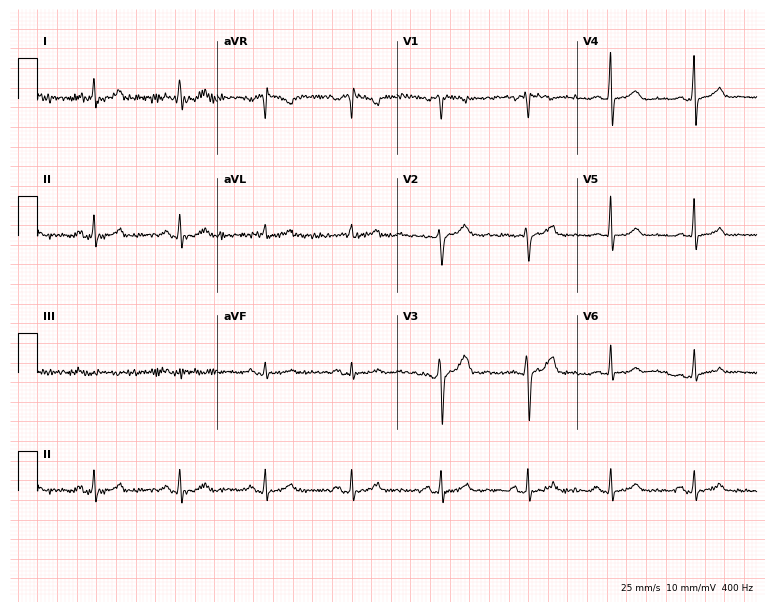
12-lead ECG from a 54-year-old male. Screened for six findings — first-degree AV block, right bundle branch block, left bundle branch block, sinus bradycardia, atrial fibrillation, sinus tachycardia — none is recorded. Only these six findings were labelled.